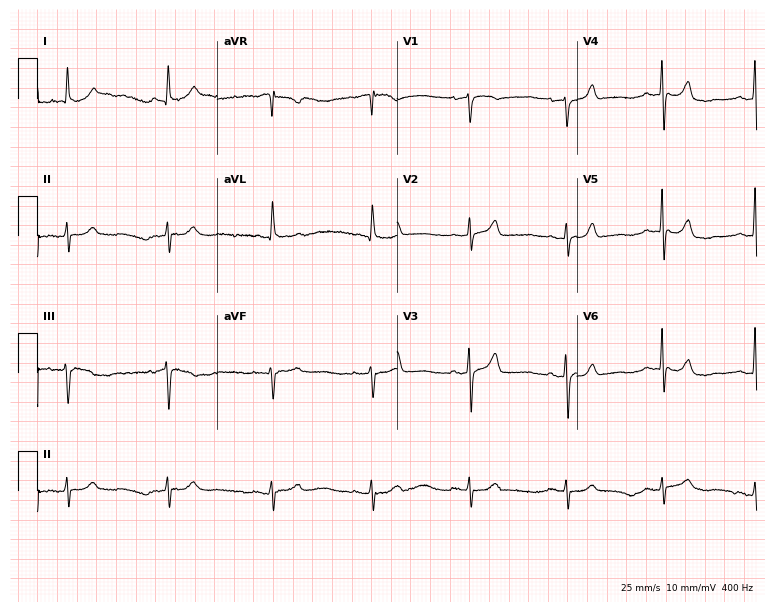
ECG — a 76-year-old woman. Screened for six findings — first-degree AV block, right bundle branch block (RBBB), left bundle branch block (LBBB), sinus bradycardia, atrial fibrillation (AF), sinus tachycardia — none is recorded. Findings outside these six are not listed.